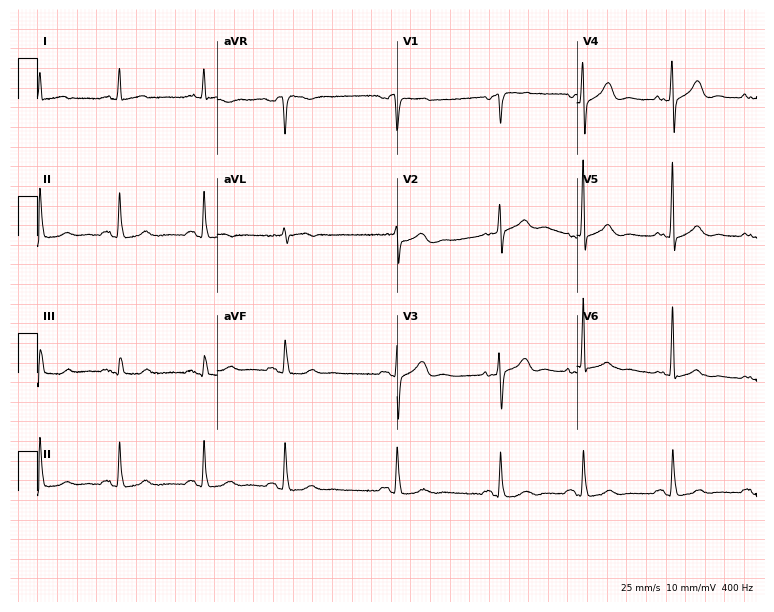
Electrocardiogram, a male patient, 73 years old. Overall reading on record: normal ECG.